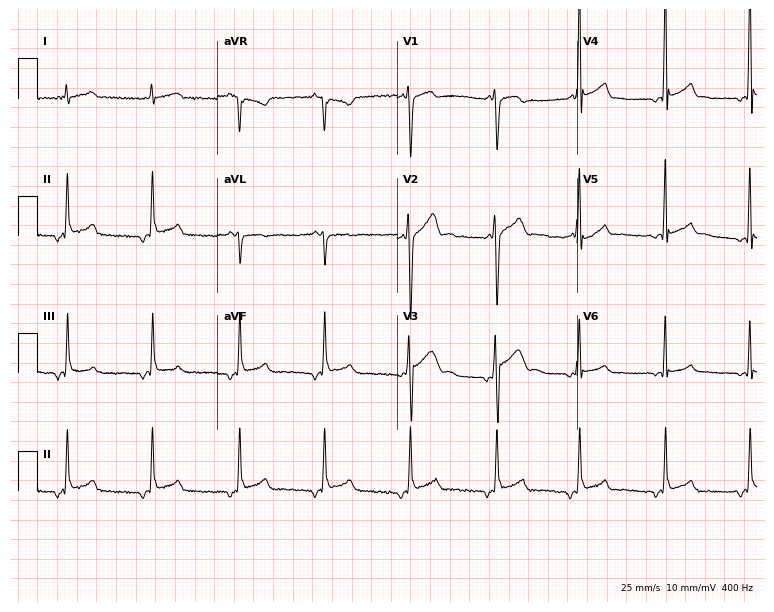
ECG (7.3-second recording at 400 Hz) — a 17-year-old male. Labelled as a normal ECG.